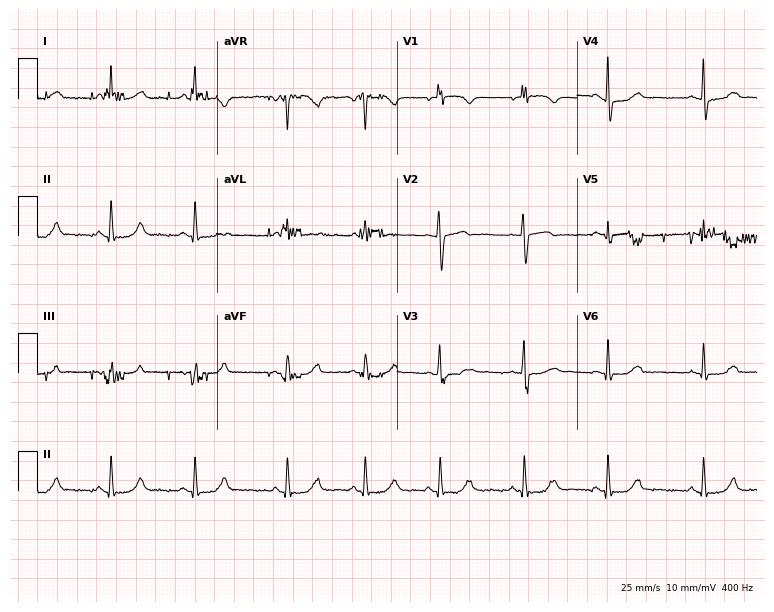
Electrocardiogram (7.3-second recording at 400 Hz), a 57-year-old female patient. Of the six screened findings (first-degree AV block, right bundle branch block, left bundle branch block, sinus bradycardia, atrial fibrillation, sinus tachycardia), none is recorded.